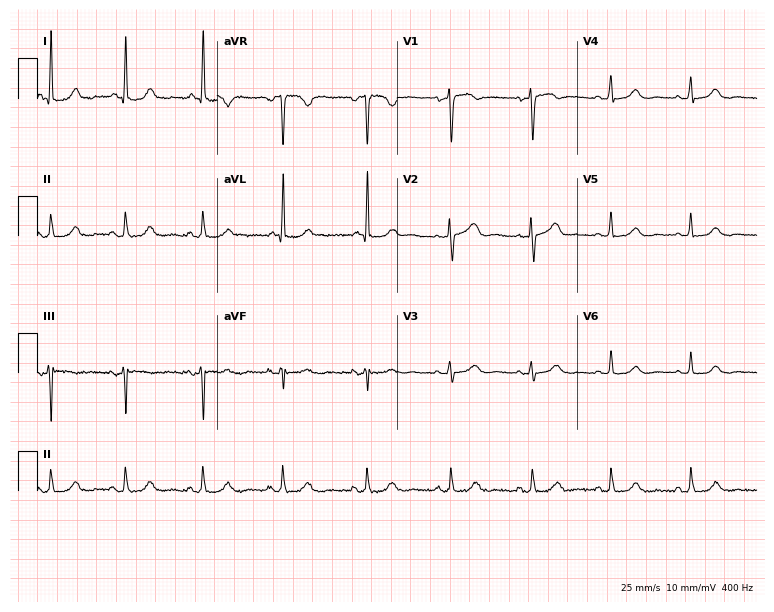
12-lead ECG from a 64-year-old woman. Recorded interpretation: within normal limits.